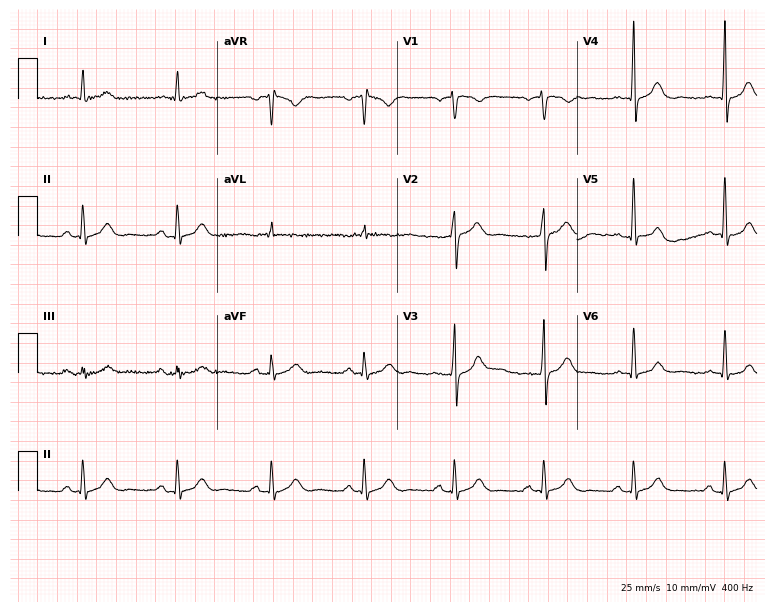
12-lead ECG from a 51-year-old male (7.3-second recording at 400 Hz). No first-degree AV block, right bundle branch block, left bundle branch block, sinus bradycardia, atrial fibrillation or sinus tachycardia recorded for this tracing.